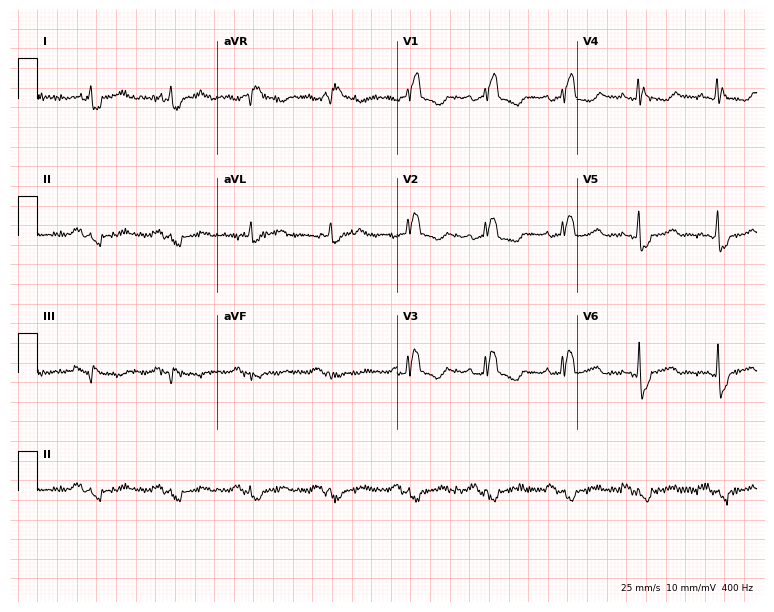
Electrocardiogram (7.3-second recording at 400 Hz), a 60-year-old woman. Interpretation includes right bundle branch block.